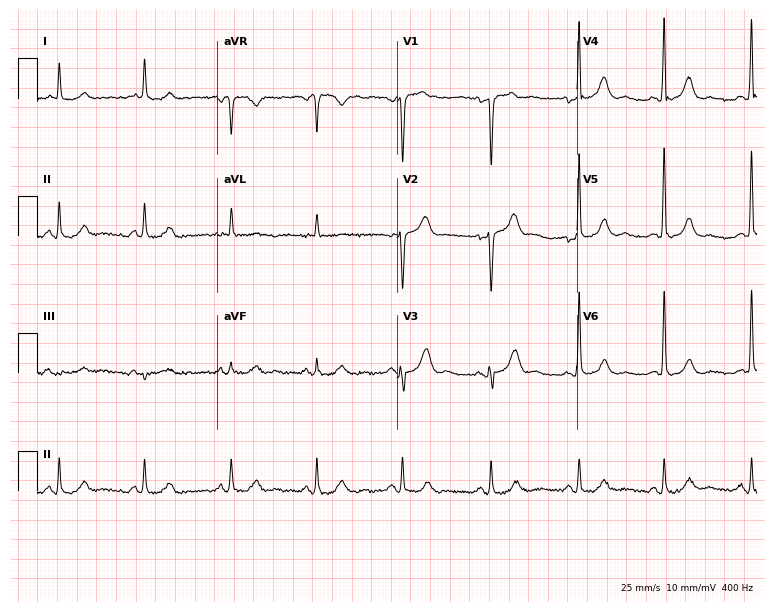
12-lead ECG from a 68-year-old male. No first-degree AV block, right bundle branch block (RBBB), left bundle branch block (LBBB), sinus bradycardia, atrial fibrillation (AF) or sinus tachycardia recorded for this tracing.